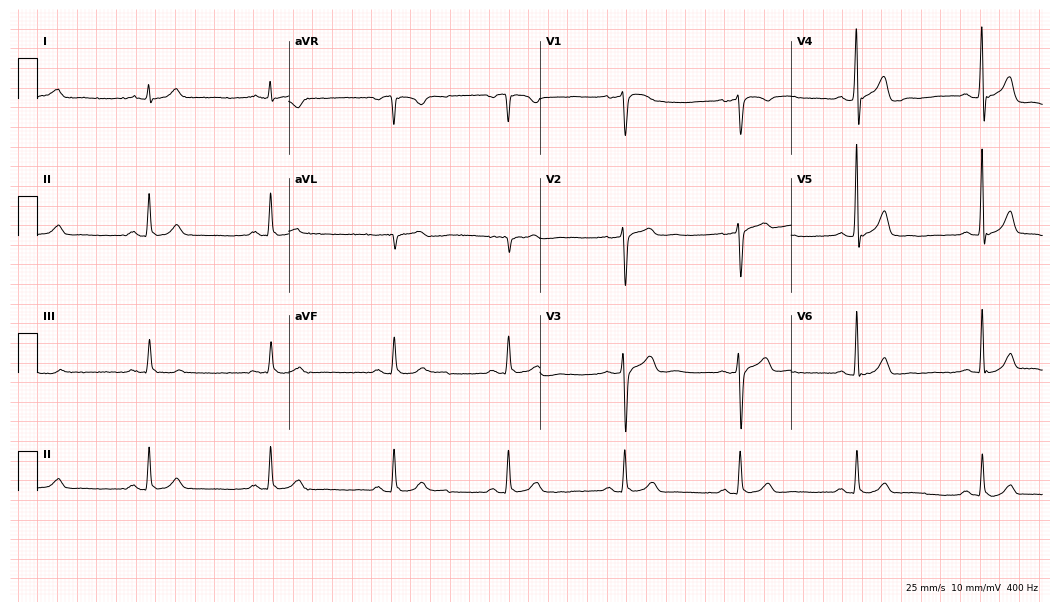
Standard 12-lead ECG recorded from a male, 62 years old (10.2-second recording at 400 Hz). Read as a normal ECG.